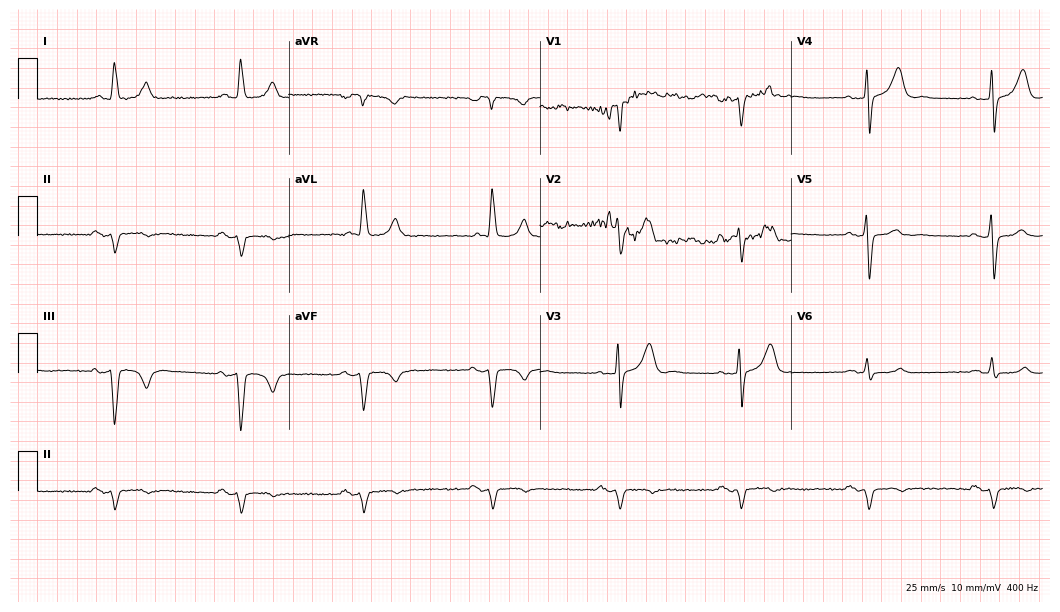
ECG (10.2-second recording at 400 Hz) — an 83-year-old man. Findings include sinus bradycardia (a sinus rate of 50 beats per minute or less).